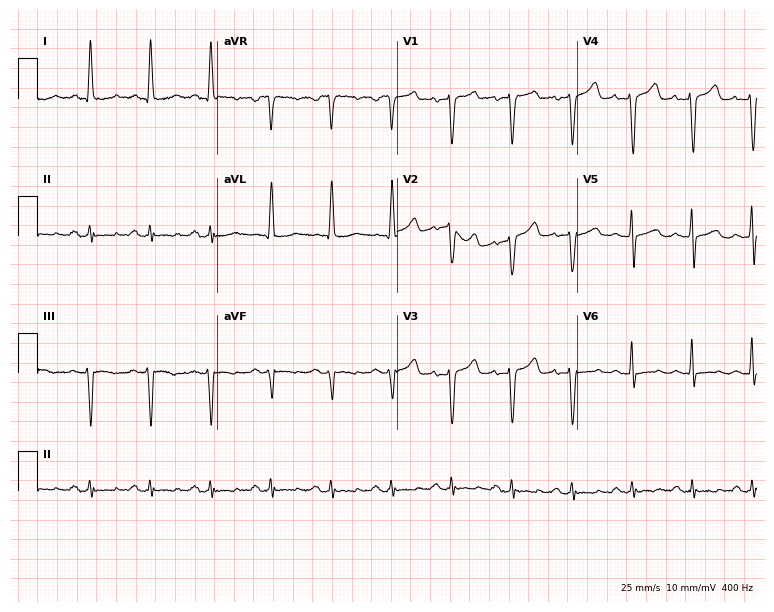
12-lead ECG (7.3-second recording at 400 Hz) from a 61-year-old woman. Screened for six findings — first-degree AV block, right bundle branch block, left bundle branch block, sinus bradycardia, atrial fibrillation, sinus tachycardia — none is recorded.